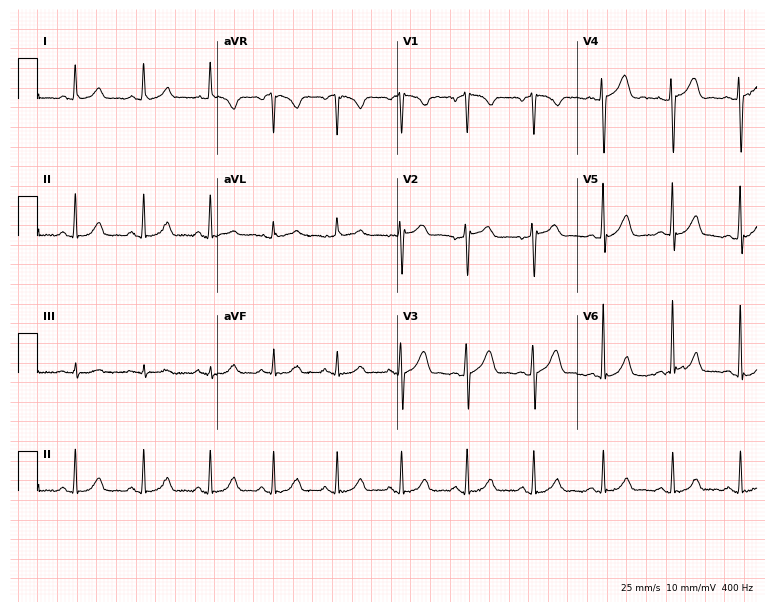
Resting 12-lead electrocardiogram (7.3-second recording at 400 Hz). Patient: a male, 43 years old. None of these six findings is recorded: first-degree AV block, right bundle branch block, left bundle branch block, sinus bradycardia, atrial fibrillation, sinus tachycardia. Other findings, if any, are not listed.